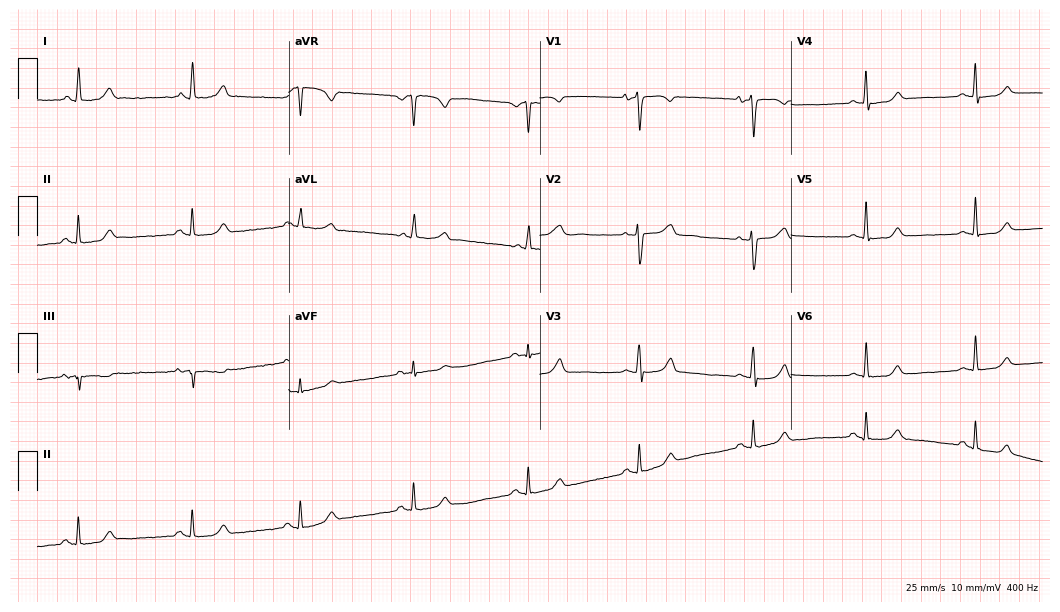
Standard 12-lead ECG recorded from a woman, 71 years old. None of these six findings is recorded: first-degree AV block, right bundle branch block, left bundle branch block, sinus bradycardia, atrial fibrillation, sinus tachycardia.